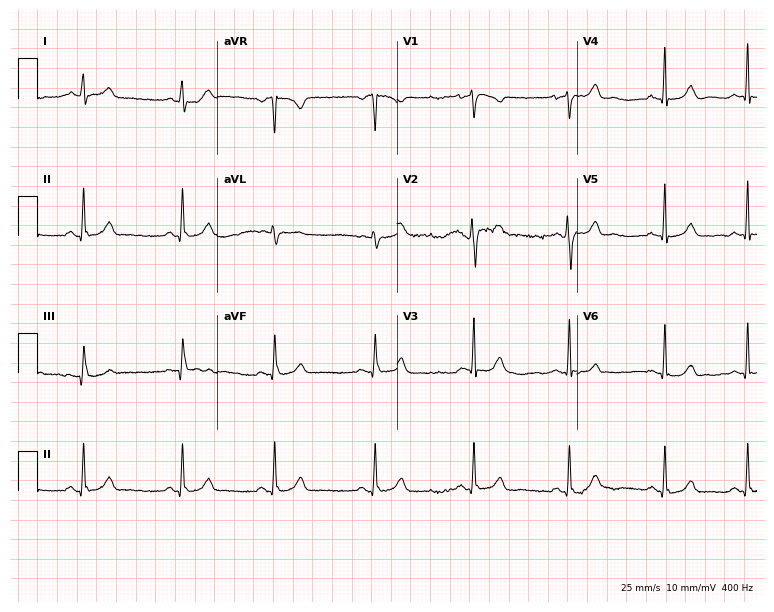
ECG (7.3-second recording at 400 Hz) — a 28-year-old woman. Labelled as a normal ECG.